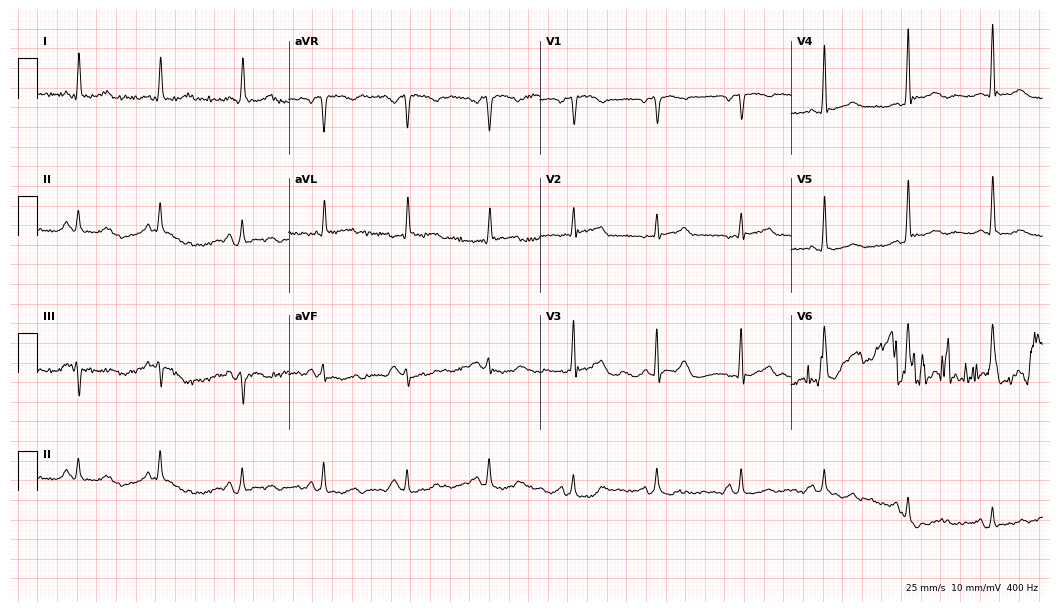
ECG (10.2-second recording at 400 Hz) — a female patient, 73 years old. Screened for six findings — first-degree AV block, right bundle branch block (RBBB), left bundle branch block (LBBB), sinus bradycardia, atrial fibrillation (AF), sinus tachycardia — none is recorded.